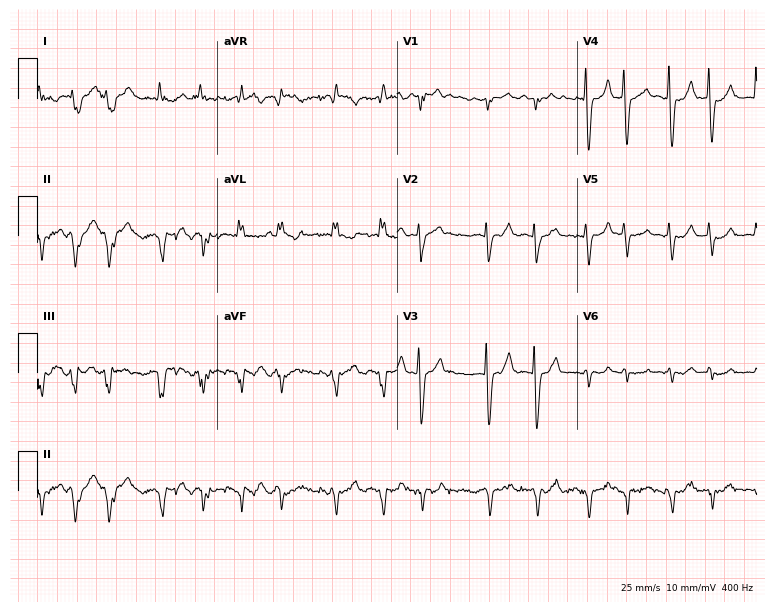
Electrocardiogram (7.3-second recording at 400 Hz), a 72-year-old female. Interpretation includes atrial fibrillation.